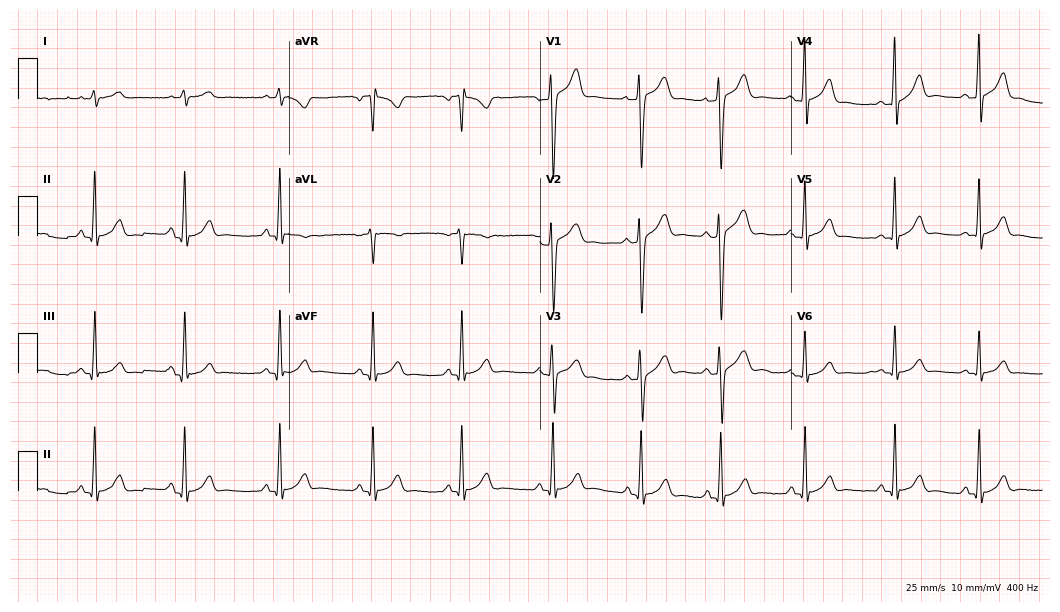
12-lead ECG from a male, 19 years old. Recorded interpretation: within normal limits.